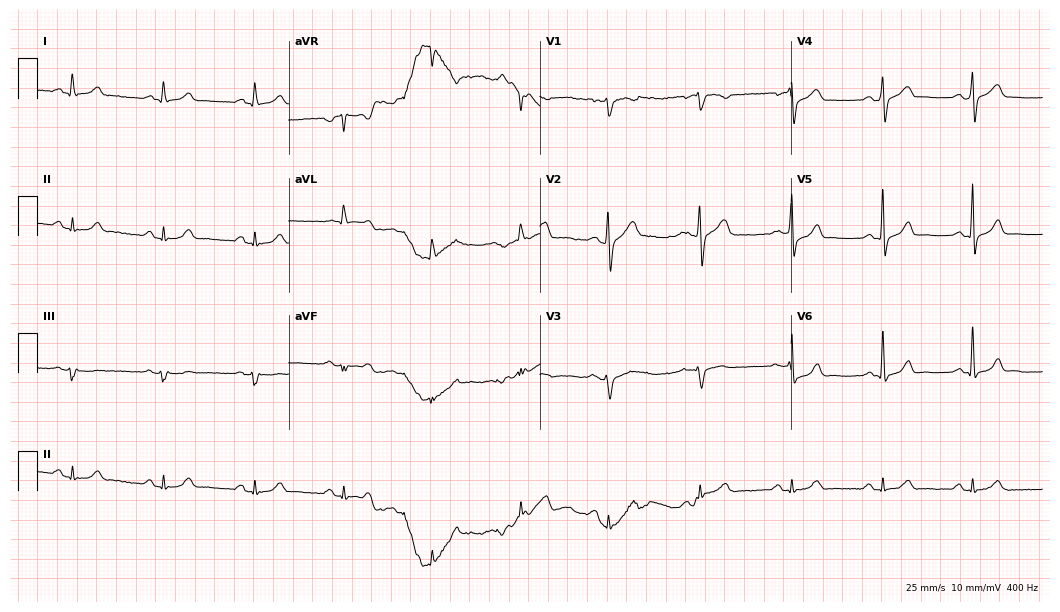
Electrocardiogram (10.2-second recording at 400 Hz), a male, 53 years old. Of the six screened findings (first-degree AV block, right bundle branch block, left bundle branch block, sinus bradycardia, atrial fibrillation, sinus tachycardia), none is recorded. Only these six findings were labelled.